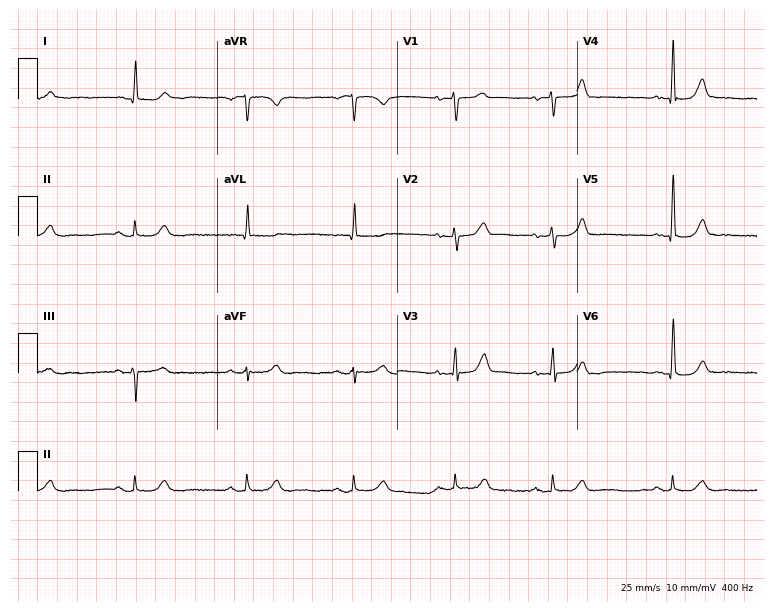
ECG (7.3-second recording at 400 Hz) — a female, 82 years old. Screened for six findings — first-degree AV block, right bundle branch block, left bundle branch block, sinus bradycardia, atrial fibrillation, sinus tachycardia — none is recorded.